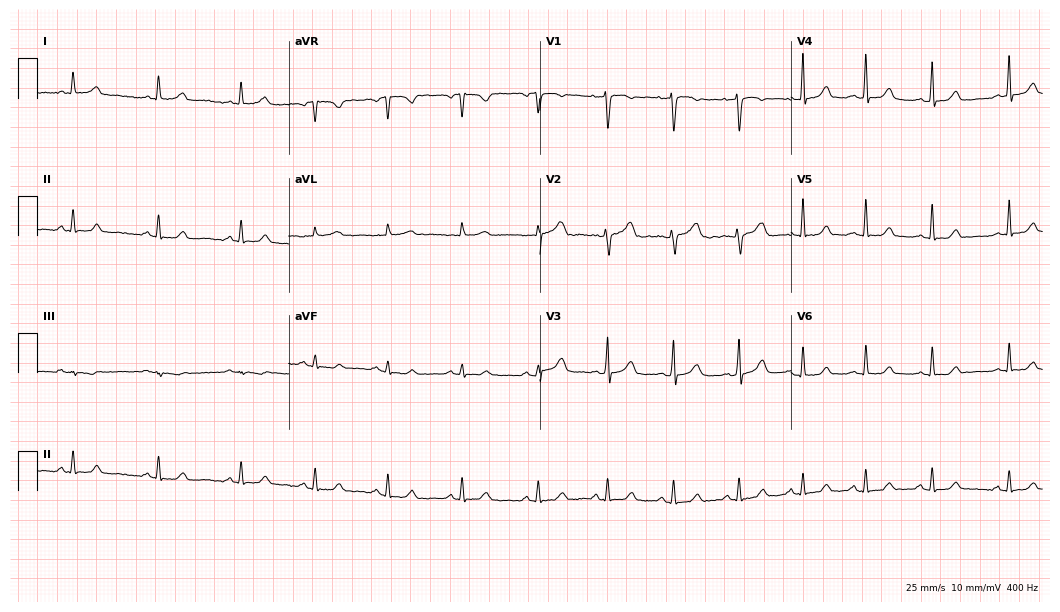
ECG (10.2-second recording at 400 Hz) — a female, 25 years old. Labelled as a normal ECG.